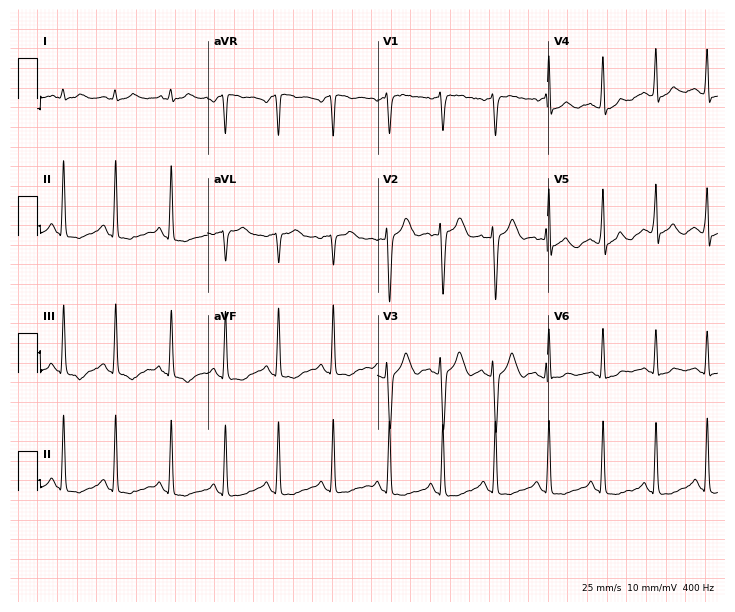
ECG (6.9-second recording at 400 Hz) — a female, 27 years old. Findings include sinus tachycardia (a sinus rate of 100 beats per minute or more).